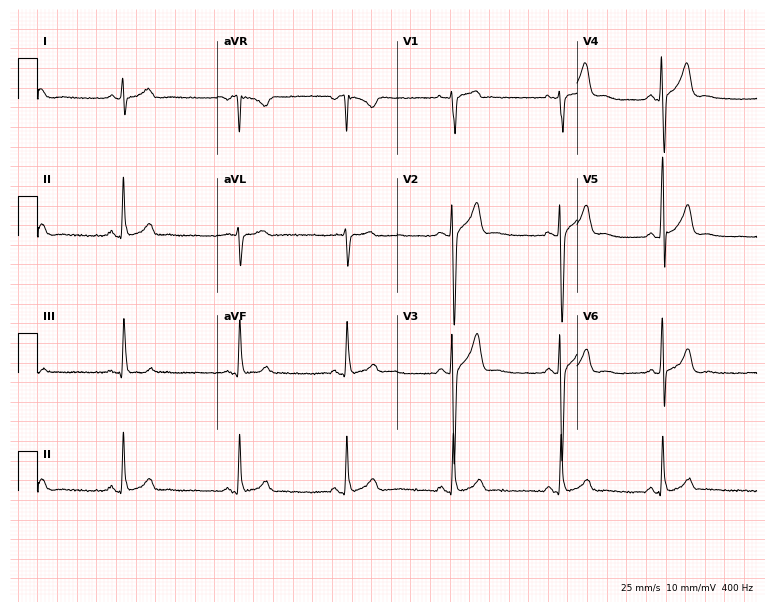
Electrocardiogram (7.3-second recording at 400 Hz), a man, 30 years old. Of the six screened findings (first-degree AV block, right bundle branch block (RBBB), left bundle branch block (LBBB), sinus bradycardia, atrial fibrillation (AF), sinus tachycardia), none is recorded.